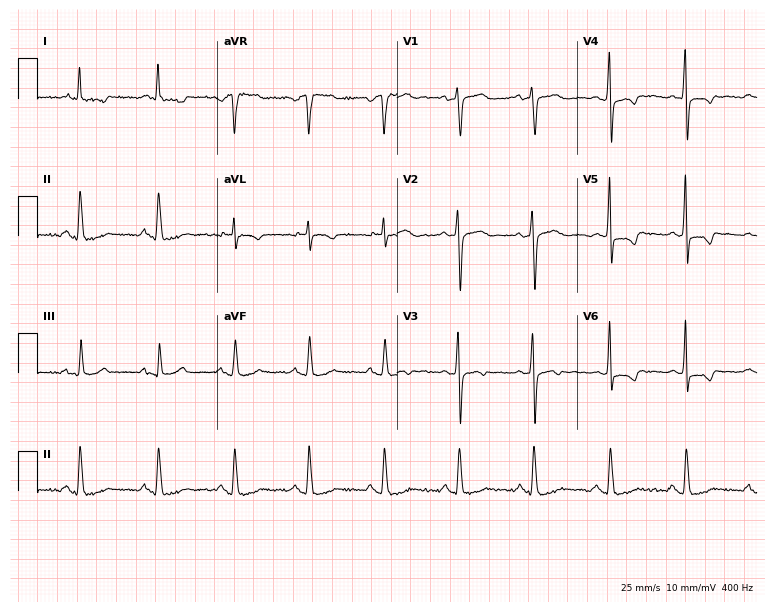
Resting 12-lead electrocardiogram. Patient: an 83-year-old male. None of these six findings is recorded: first-degree AV block, right bundle branch block, left bundle branch block, sinus bradycardia, atrial fibrillation, sinus tachycardia. Findings outside these six are not listed.